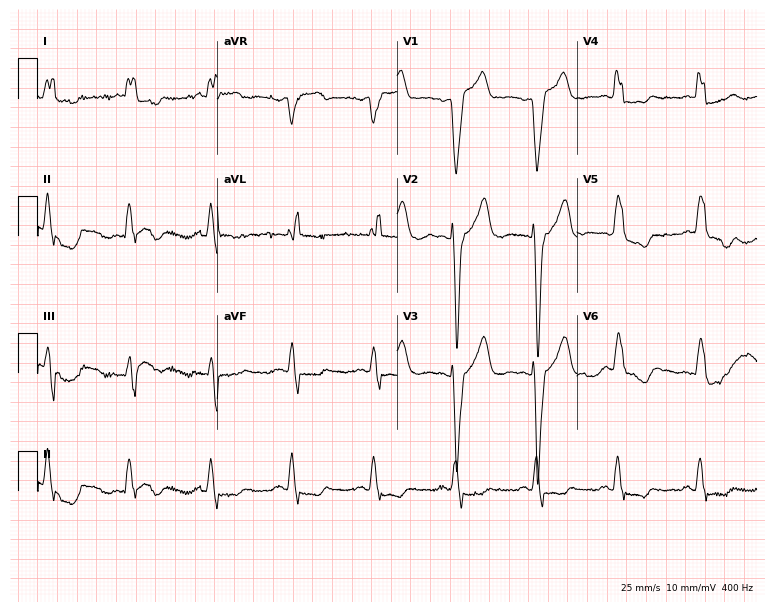
12-lead ECG from a female, 81 years old. Findings include left bundle branch block.